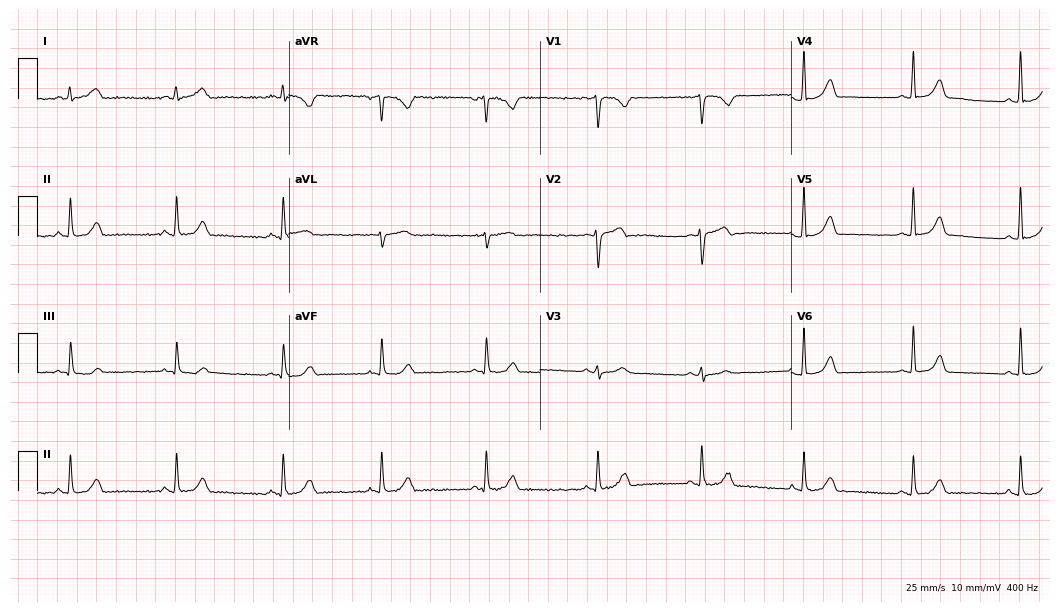
Electrocardiogram (10.2-second recording at 400 Hz), a 21-year-old woman. Overall reading on record: normal ECG.